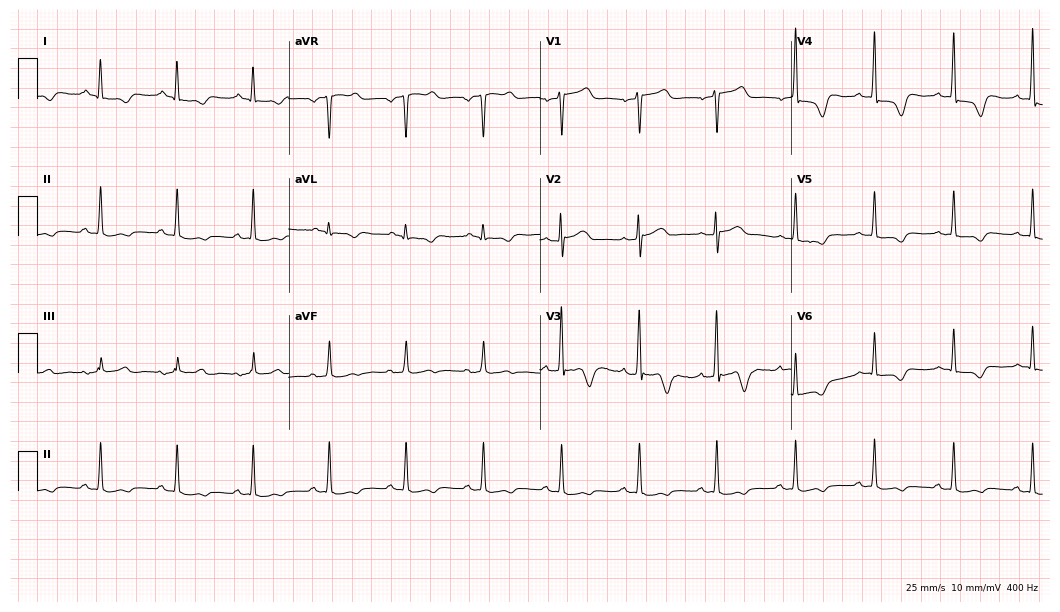
Standard 12-lead ECG recorded from a 63-year-old man. None of these six findings is recorded: first-degree AV block, right bundle branch block, left bundle branch block, sinus bradycardia, atrial fibrillation, sinus tachycardia. Other findings, if any, are not listed.